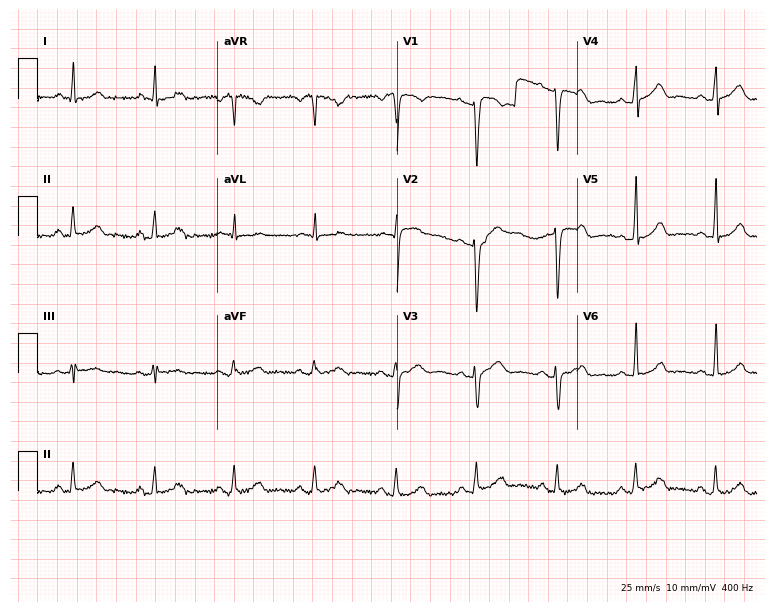
12-lead ECG from a female patient, 28 years old. Screened for six findings — first-degree AV block, right bundle branch block, left bundle branch block, sinus bradycardia, atrial fibrillation, sinus tachycardia — none is recorded.